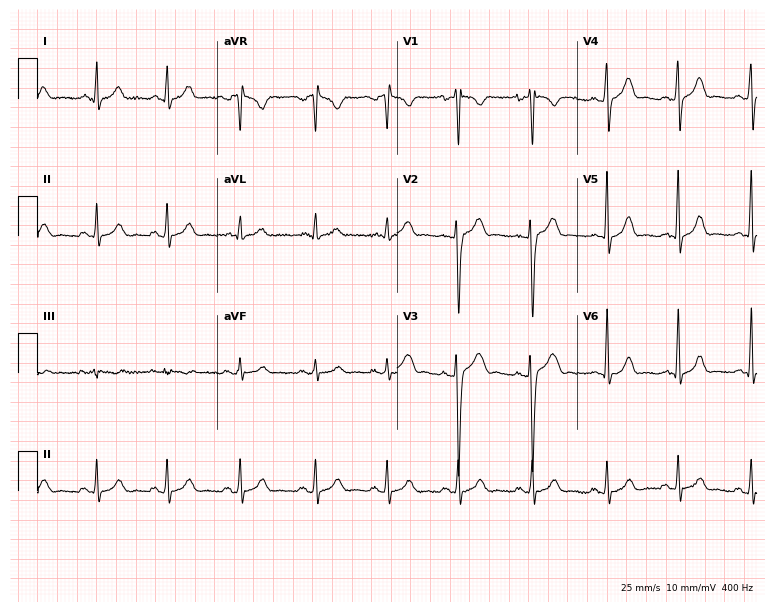
Resting 12-lead electrocardiogram. Patient: a man, 17 years old. Read as a normal ECG.